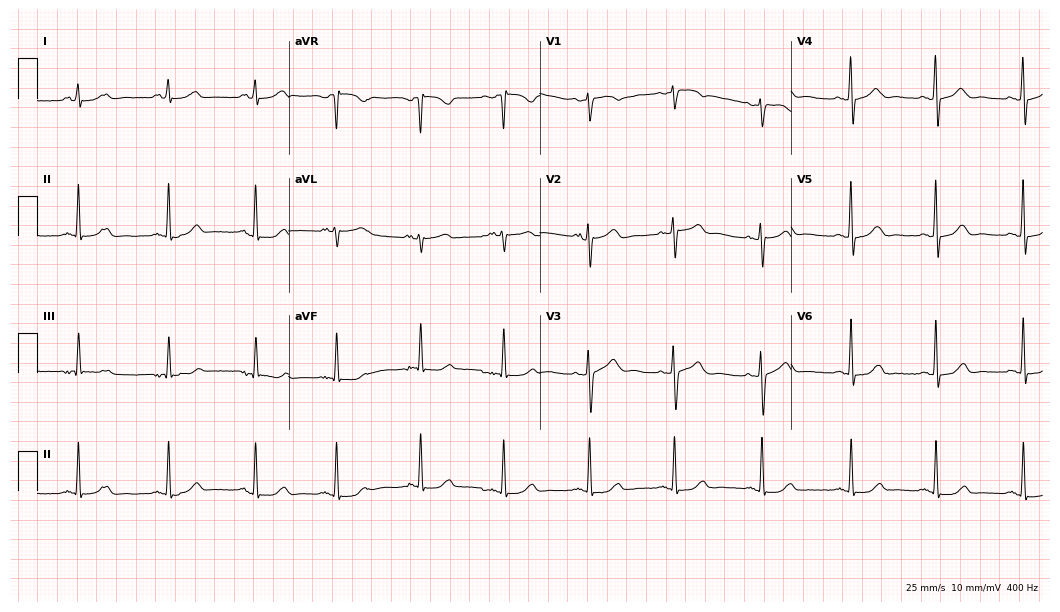
12-lead ECG (10.2-second recording at 400 Hz) from a female patient, 51 years old. Labelled as a normal ECG.